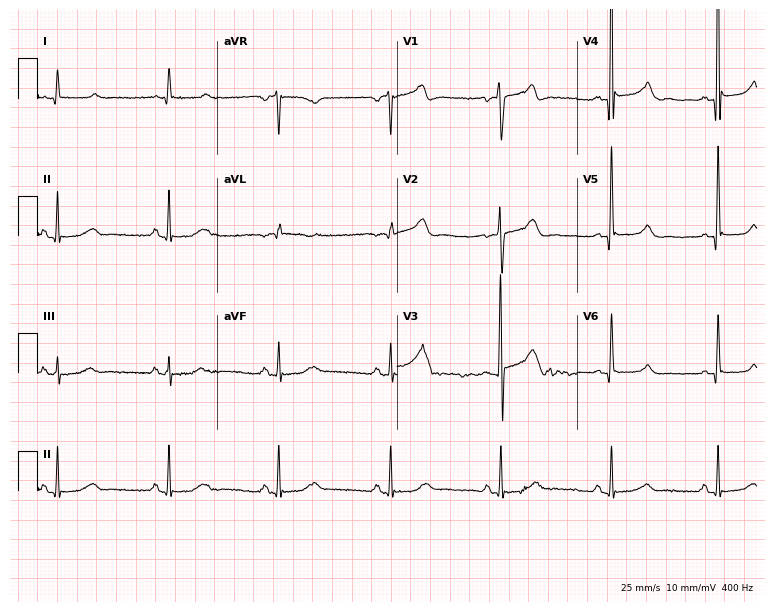
Standard 12-lead ECG recorded from a male, 72 years old. None of these six findings is recorded: first-degree AV block, right bundle branch block (RBBB), left bundle branch block (LBBB), sinus bradycardia, atrial fibrillation (AF), sinus tachycardia.